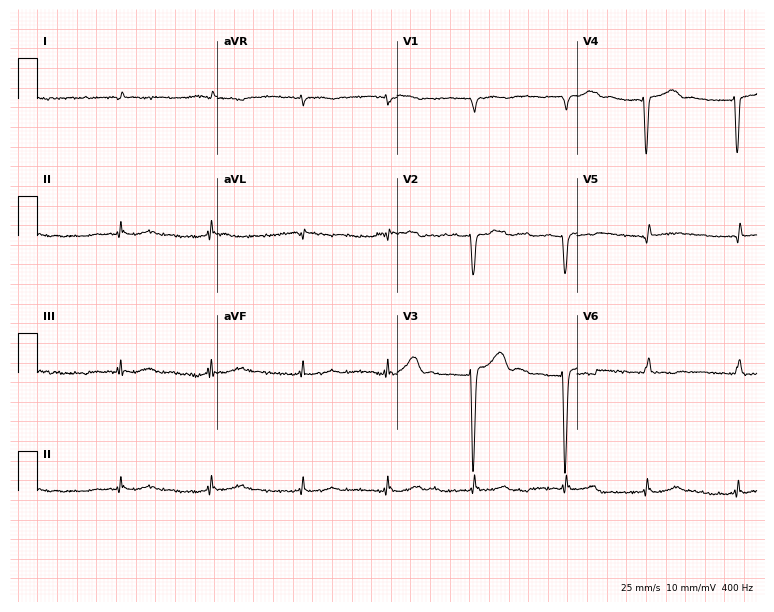
Electrocardiogram, a 67-year-old man. Of the six screened findings (first-degree AV block, right bundle branch block, left bundle branch block, sinus bradycardia, atrial fibrillation, sinus tachycardia), none is recorded. Only these six findings were labelled.